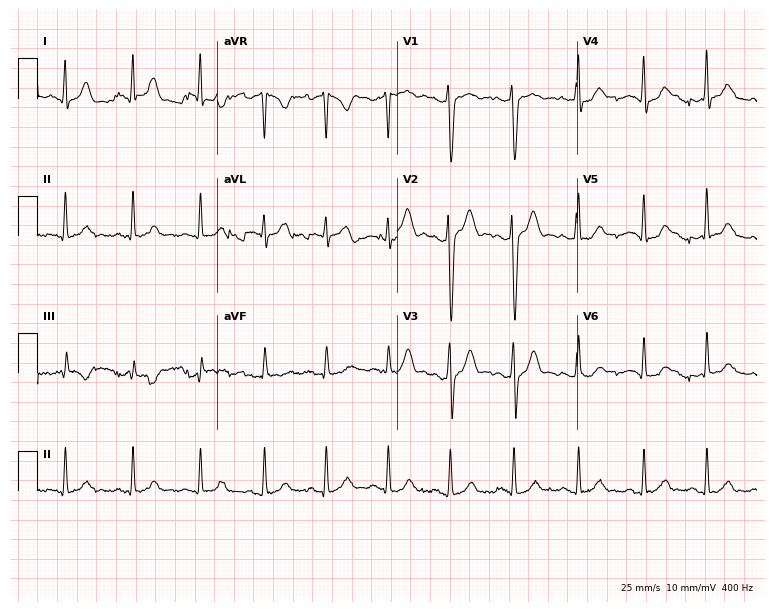
Resting 12-lead electrocardiogram (7.3-second recording at 400 Hz). Patient: a 25-year-old male. Read as a normal ECG.